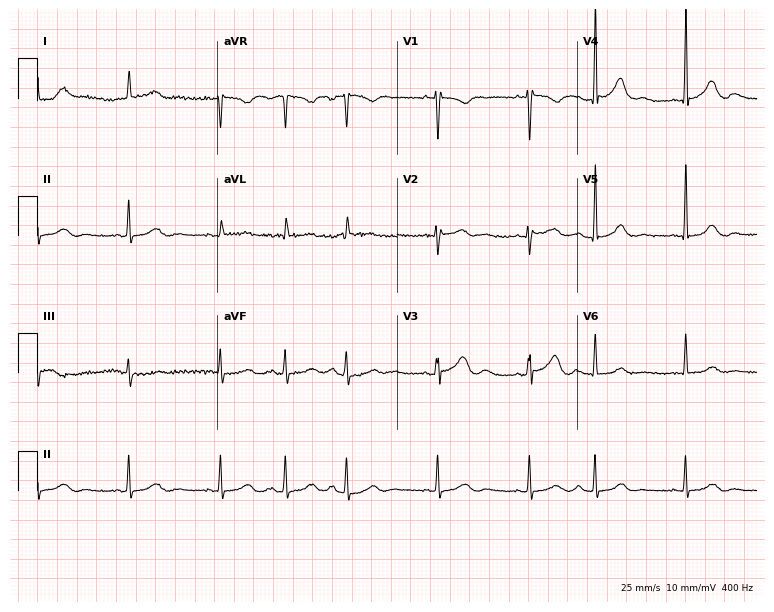
Electrocardiogram (7.3-second recording at 400 Hz), a male patient, 84 years old. Of the six screened findings (first-degree AV block, right bundle branch block (RBBB), left bundle branch block (LBBB), sinus bradycardia, atrial fibrillation (AF), sinus tachycardia), none is recorded.